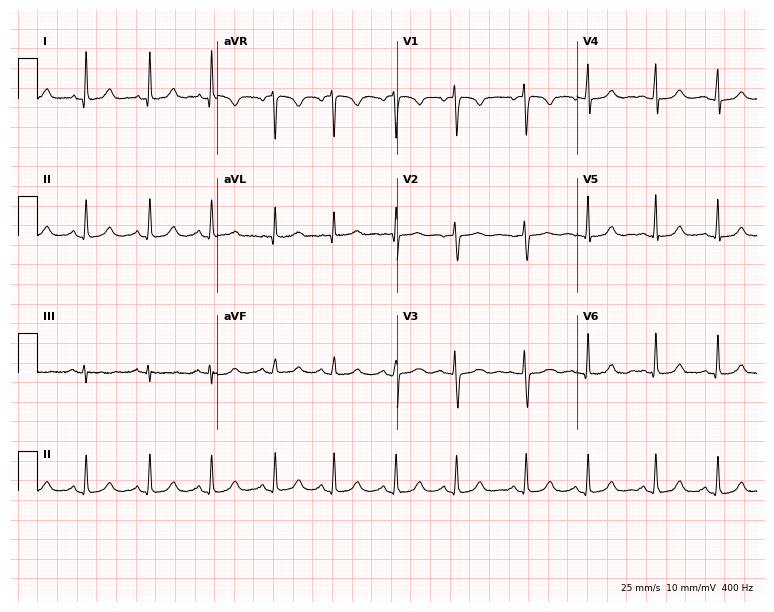
Electrocardiogram (7.3-second recording at 400 Hz), a female, 34 years old. Overall reading on record: normal ECG.